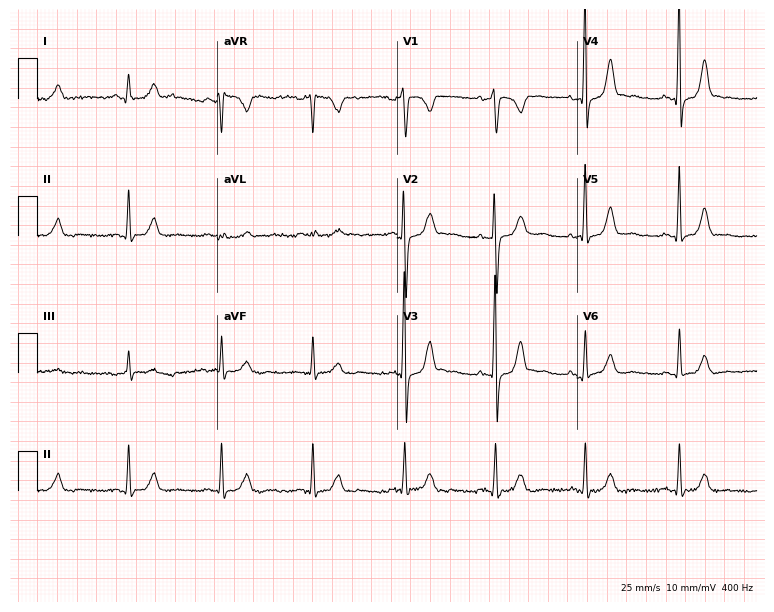
Resting 12-lead electrocardiogram (7.3-second recording at 400 Hz). Patient: a 48-year-old man. Read as a normal ECG.